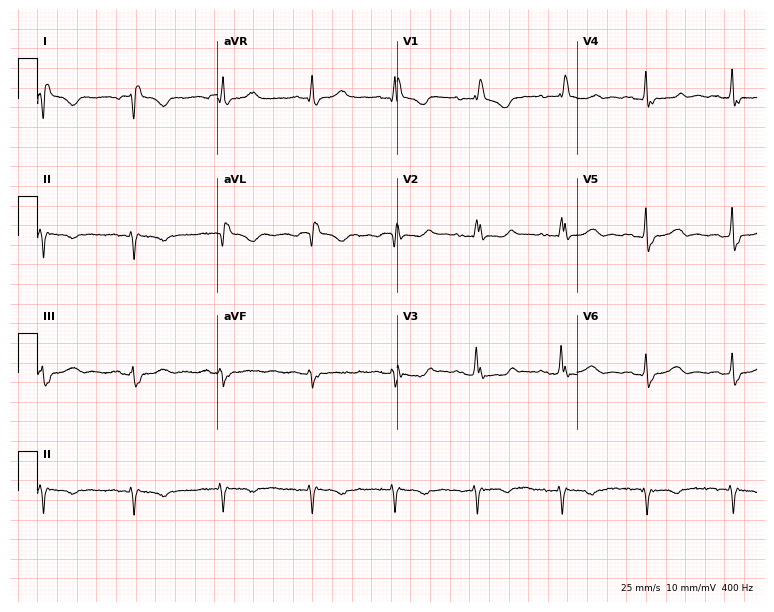
12-lead ECG (7.3-second recording at 400 Hz) from a 54-year-old woman. Screened for six findings — first-degree AV block, right bundle branch block (RBBB), left bundle branch block (LBBB), sinus bradycardia, atrial fibrillation (AF), sinus tachycardia — none is recorded.